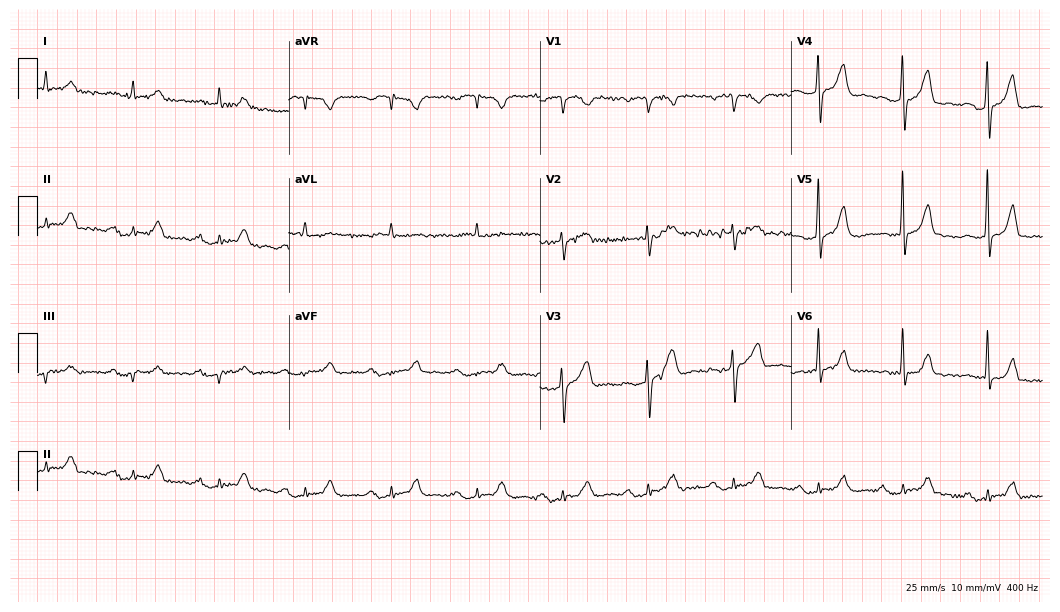
Resting 12-lead electrocardiogram (10.2-second recording at 400 Hz). Patient: a man, 68 years old. The tracing shows first-degree AV block.